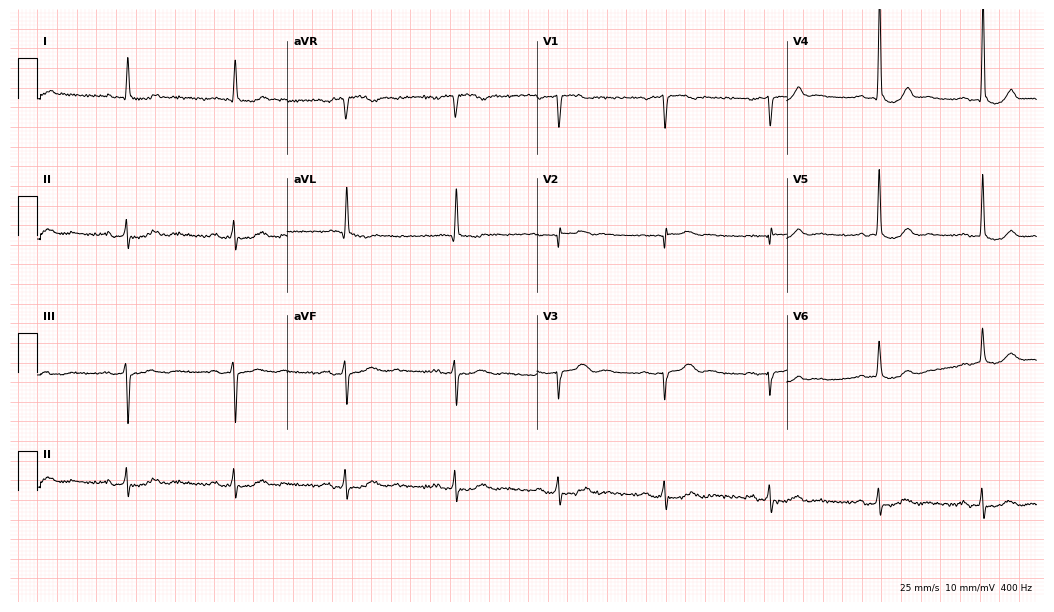
Electrocardiogram, a woman, 65 years old. Of the six screened findings (first-degree AV block, right bundle branch block (RBBB), left bundle branch block (LBBB), sinus bradycardia, atrial fibrillation (AF), sinus tachycardia), none is recorded.